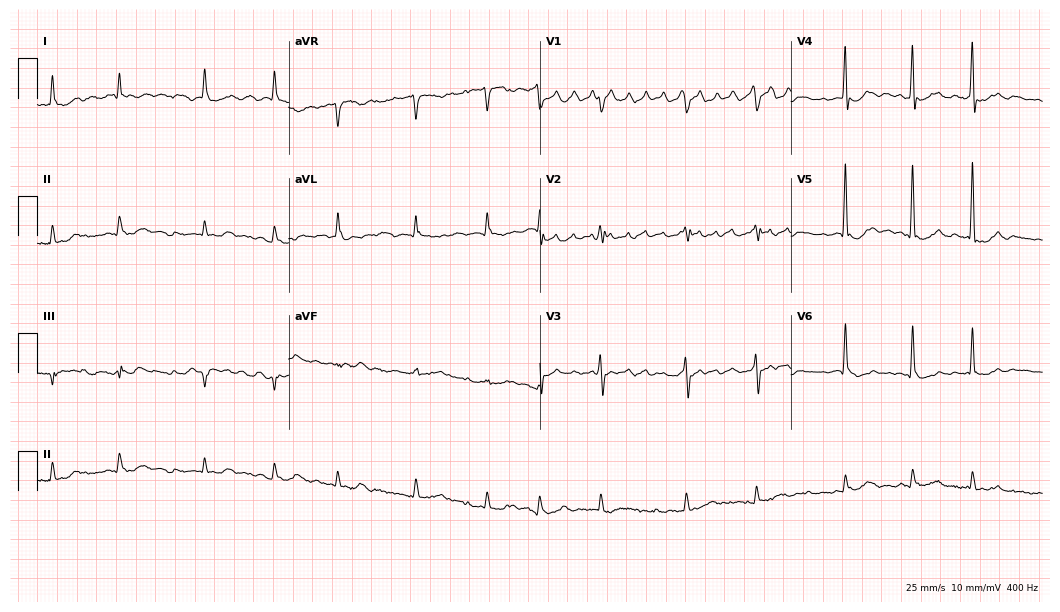
12-lead ECG from an 82-year-old female. Screened for six findings — first-degree AV block, right bundle branch block (RBBB), left bundle branch block (LBBB), sinus bradycardia, atrial fibrillation (AF), sinus tachycardia — none is recorded.